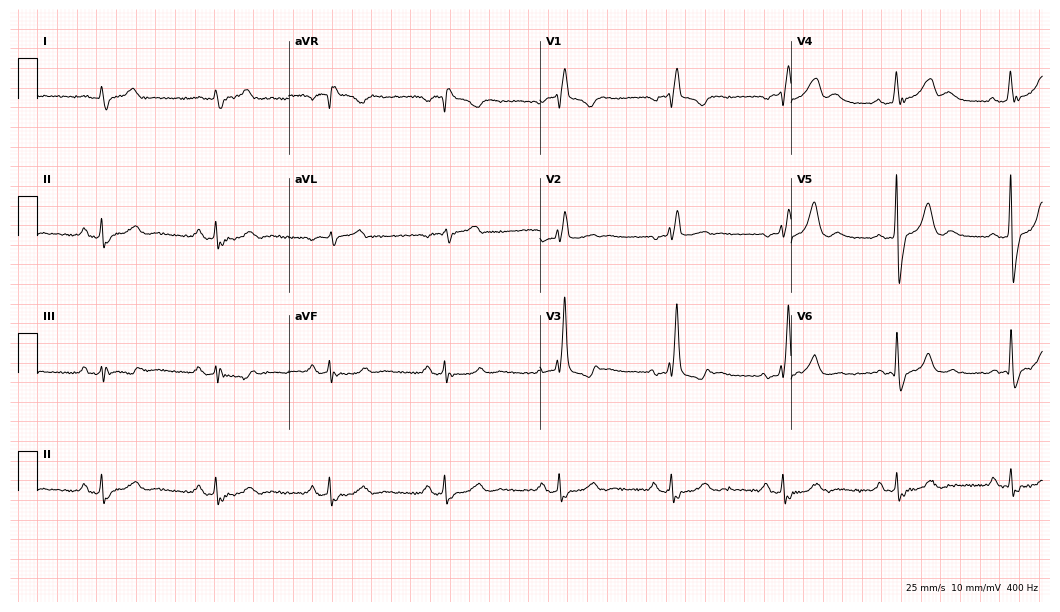
12-lead ECG from a male, 58 years old (10.2-second recording at 400 Hz). Shows right bundle branch block (RBBB).